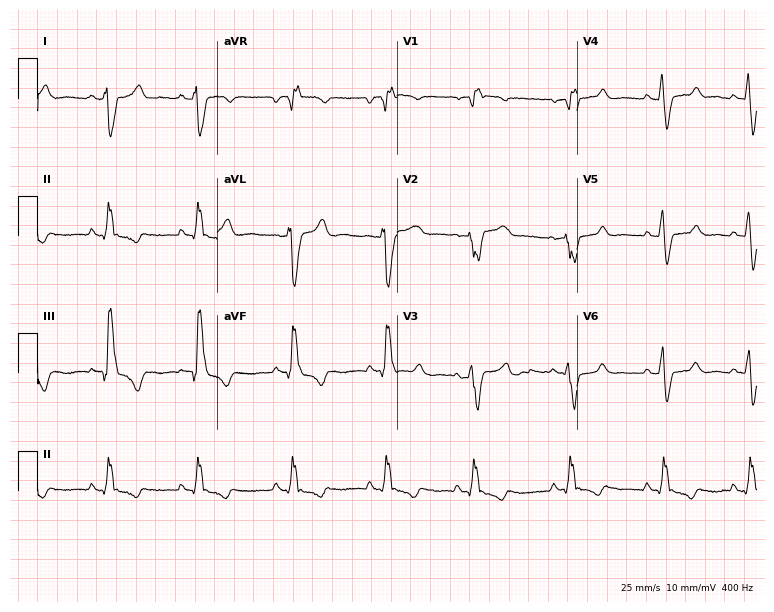
Standard 12-lead ECG recorded from a 38-year-old female patient (7.3-second recording at 400 Hz). The tracing shows right bundle branch block (RBBB).